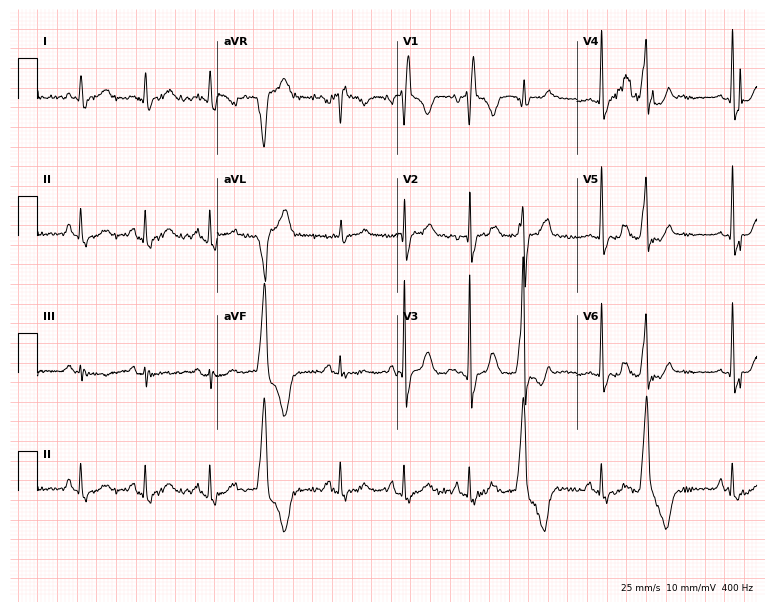
Electrocardiogram (7.3-second recording at 400 Hz), a 79-year-old male. Of the six screened findings (first-degree AV block, right bundle branch block, left bundle branch block, sinus bradycardia, atrial fibrillation, sinus tachycardia), none is recorded. Findings outside these six are not listed.